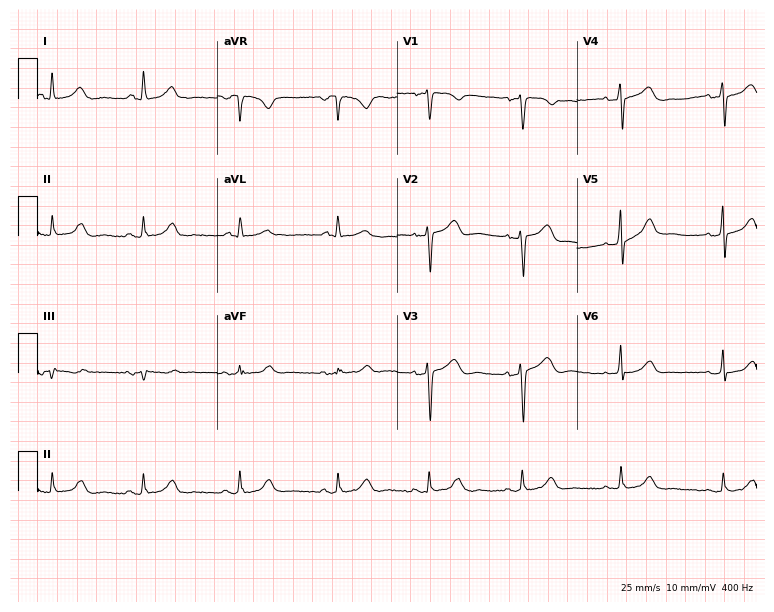
Electrocardiogram, a female, 55 years old. Of the six screened findings (first-degree AV block, right bundle branch block, left bundle branch block, sinus bradycardia, atrial fibrillation, sinus tachycardia), none is recorded. Other findings, if any, are not listed.